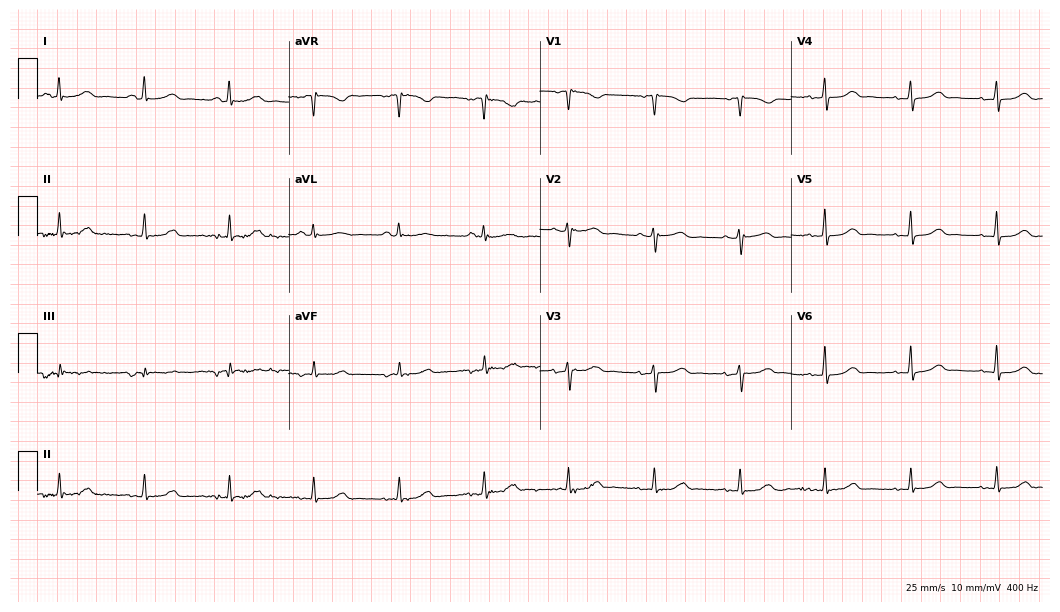
Standard 12-lead ECG recorded from a 74-year-old female. None of these six findings is recorded: first-degree AV block, right bundle branch block (RBBB), left bundle branch block (LBBB), sinus bradycardia, atrial fibrillation (AF), sinus tachycardia.